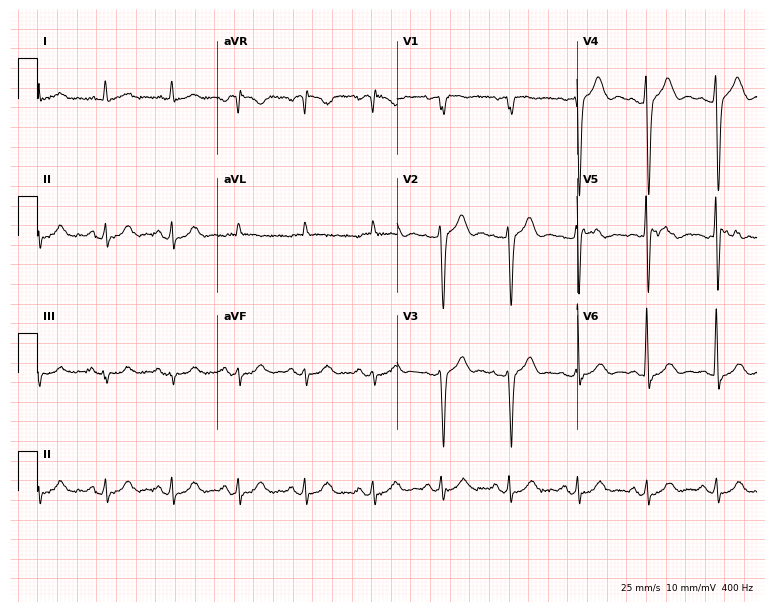
ECG (7.3-second recording at 400 Hz) — a 71-year-old man. Screened for six findings — first-degree AV block, right bundle branch block (RBBB), left bundle branch block (LBBB), sinus bradycardia, atrial fibrillation (AF), sinus tachycardia — none is recorded.